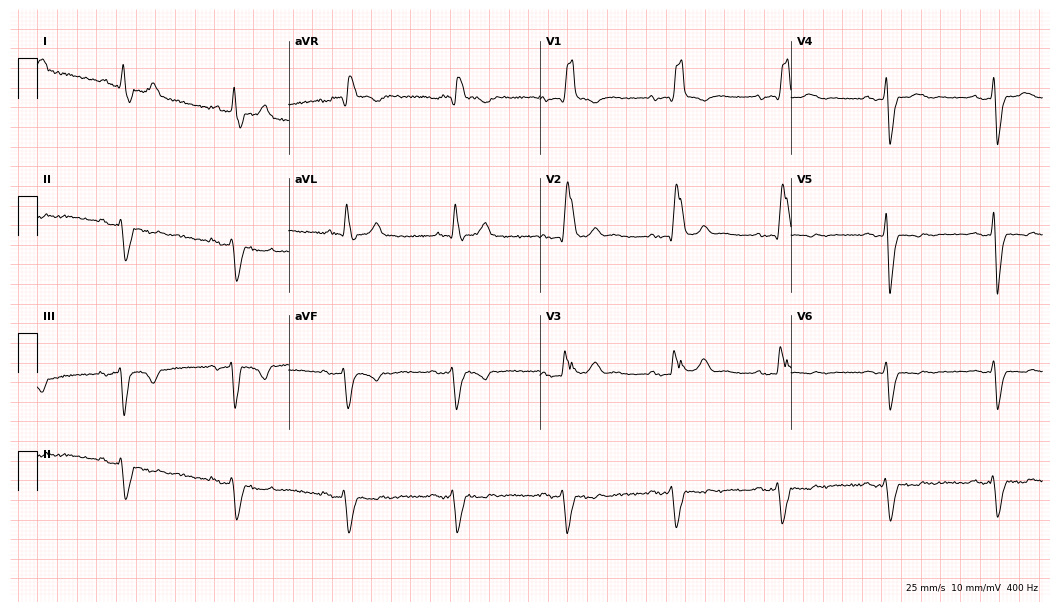
Electrocardiogram (10.2-second recording at 400 Hz), a 73-year-old man. Interpretation includes right bundle branch block (RBBB).